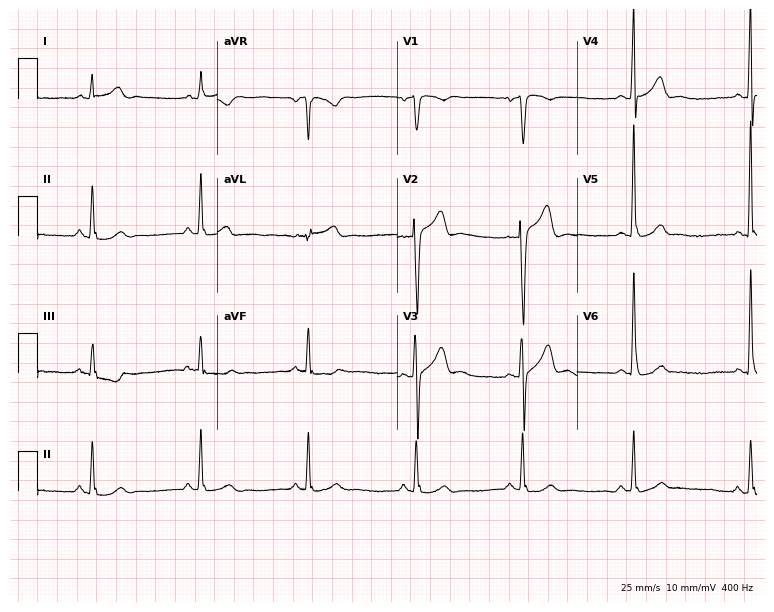
ECG — a male, 63 years old. Screened for six findings — first-degree AV block, right bundle branch block, left bundle branch block, sinus bradycardia, atrial fibrillation, sinus tachycardia — none is recorded.